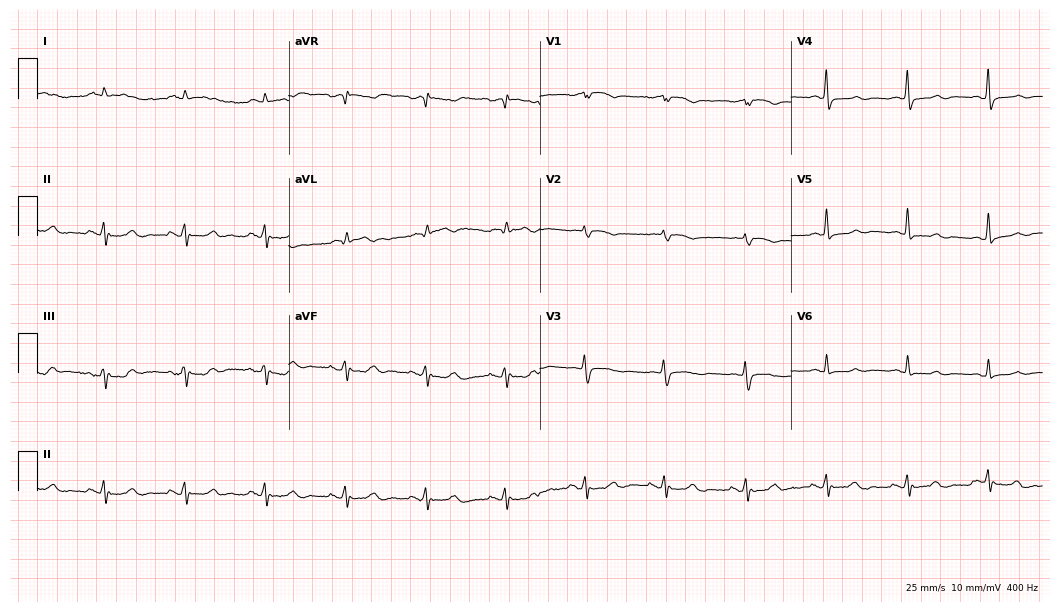
ECG (10.2-second recording at 400 Hz) — a male patient, 83 years old. Screened for six findings — first-degree AV block, right bundle branch block (RBBB), left bundle branch block (LBBB), sinus bradycardia, atrial fibrillation (AF), sinus tachycardia — none is recorded. Findings outside these six are not listed.